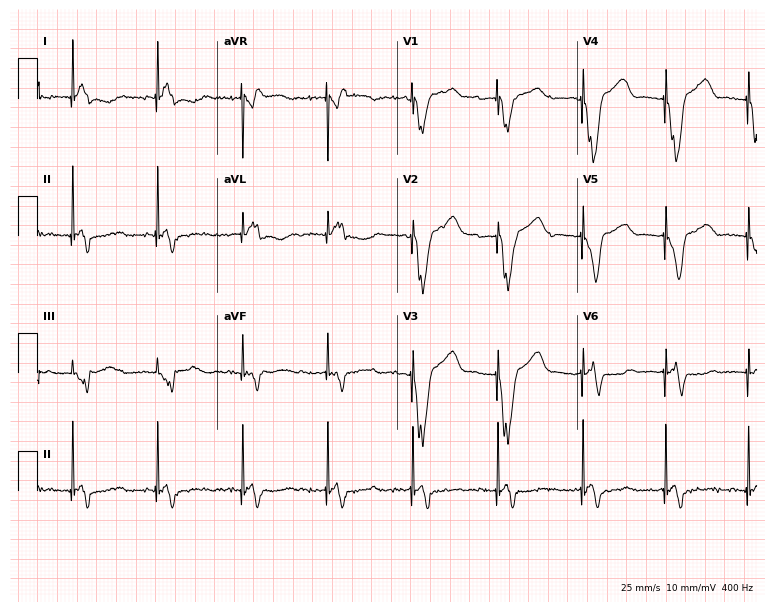
12-lead ECG (7.3-second recording at 400 Hz) from a 73-year-old male patient. Screened for six findings — first-degree AV block, right bundle branch block, left bundle branch block, sinus bradycardia, atrial fibrillation, sinus tachycardia — none is recorded.